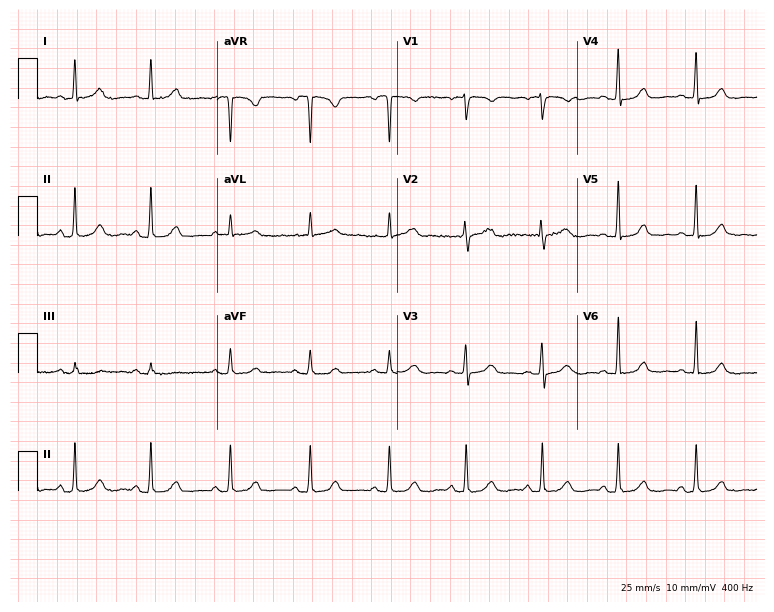
12-lead ECG (7.3-second recording at 400 Hz) from a woman, 66 years old. Labelled as a normal ECG.